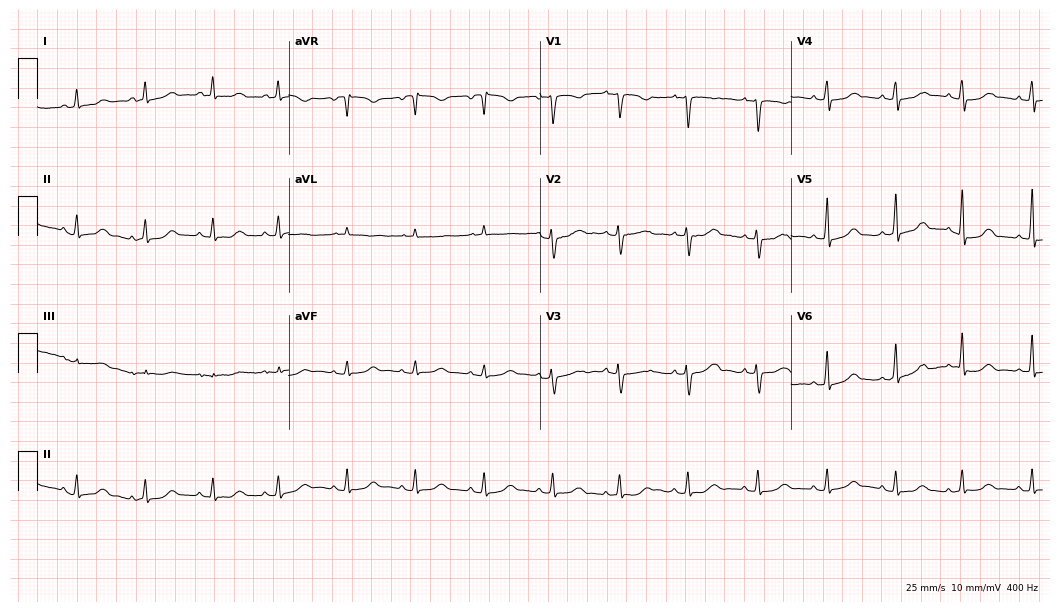
Resting 12-lead electrocardiogram. Patient: a 44-year-old woman. None of these six findings is recorded: first-degree AV block, right bundle branch block (RBBB), left bundle branch block (LBBB), sinus bradycardia, atrial fibrillation (AF), sinus tachycardia.